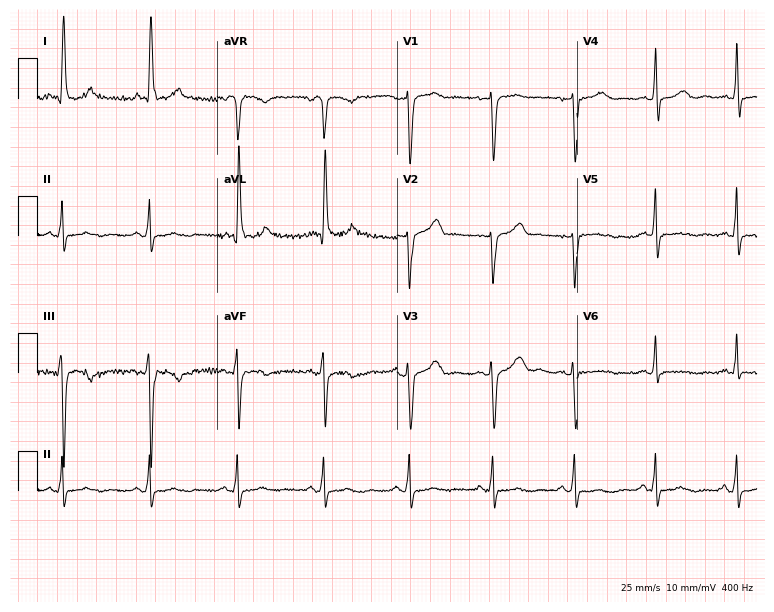
ECG — a female patient, 52 years old. Screened for six findings — first-degree AV block, right bundle branch block (RBBB), left bundle branch block (LBBB), sinus bradycardia, atrial fibrillation (AF), sinus tachycardia — none is recorded.